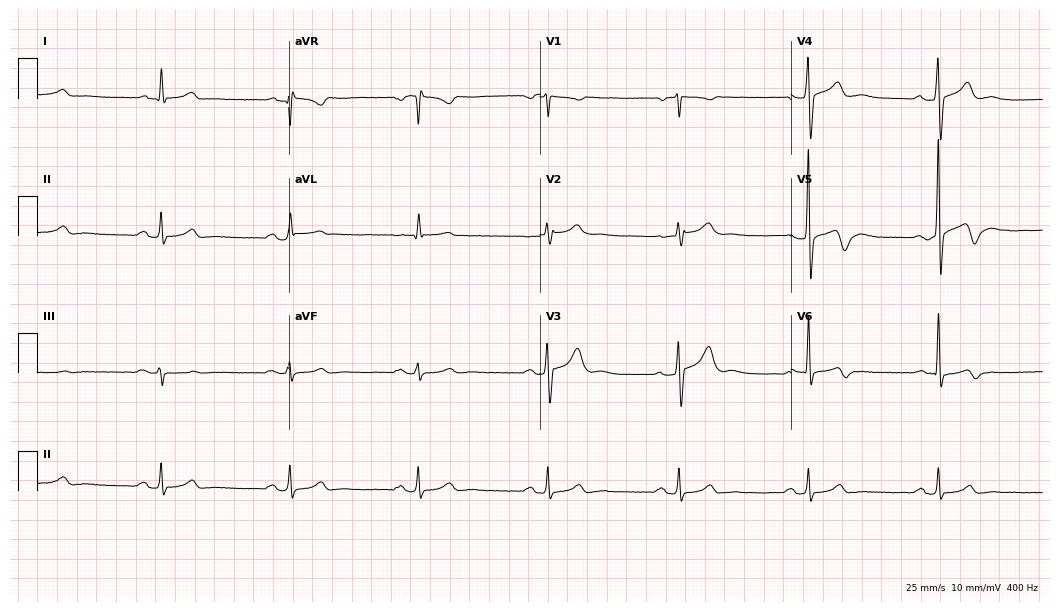
ECG (10.2-second recording at 400 Hz) — a male patient, 70 years old. Screened for six findings — first-degree AV block, right bundle branch block, left bundle branch block, sinus bradycardia, atrial fibrillation, sinus tachycardia — none is recorded.